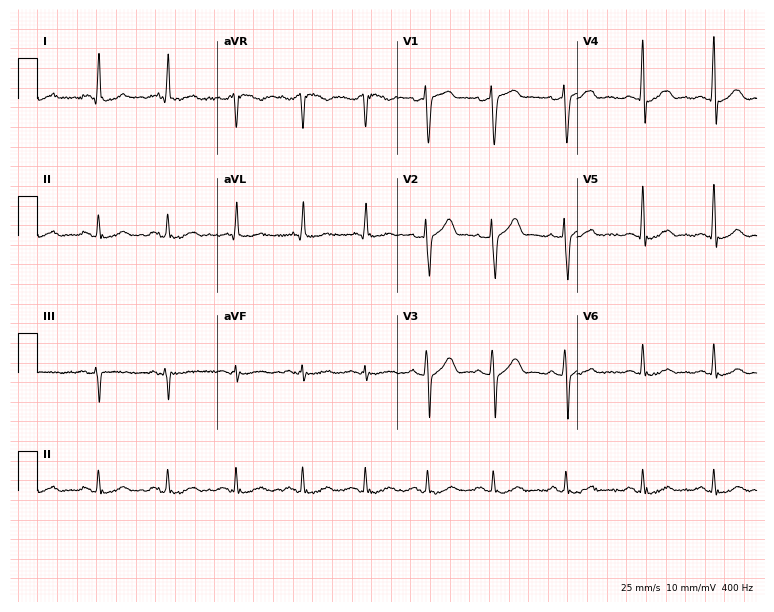
12-lead ECG from a 61-year-old man (7.3-second recording at 400 Hz). Recorded interpretation: within normal limits.